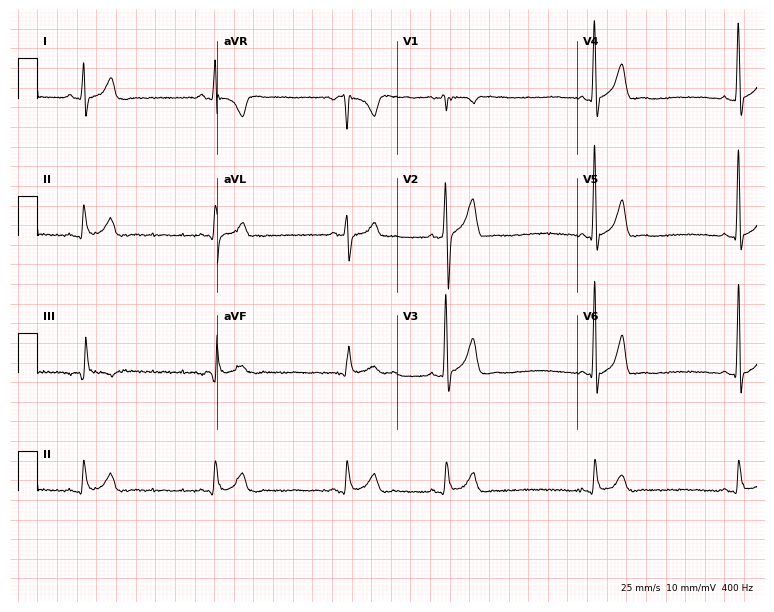
Electrocardiogram (7.3-second recording at 400 Hz), a male patient, 35 years old. Of the six screened findings (first-degree AV block, right bundle branch block, left bundle branch block, sinus bradycardia, atrial fibrillation, sinus tachycardia), none is recorded. Other findings, if any, are not listed.